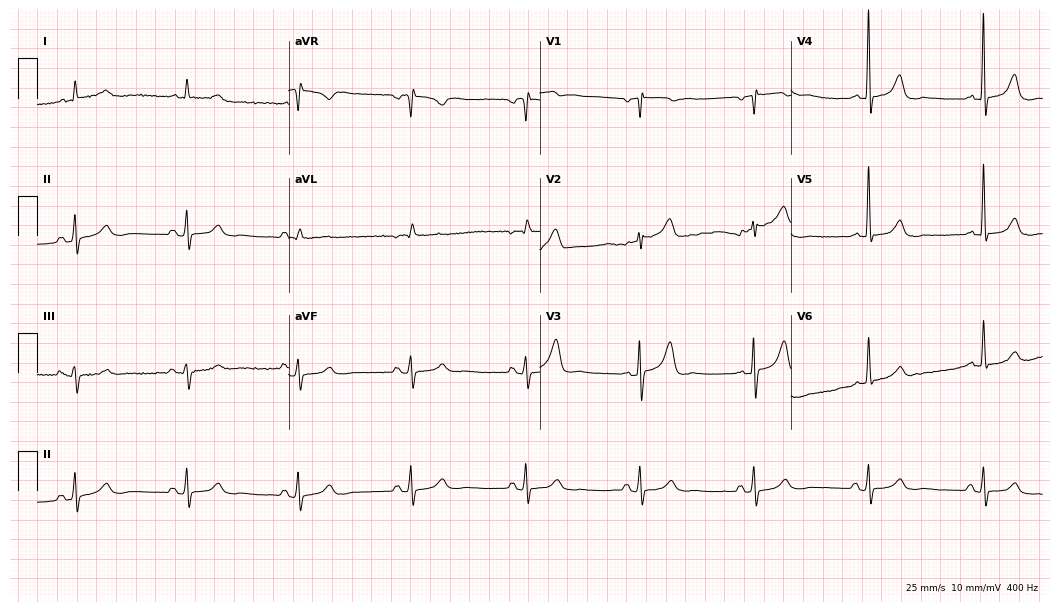
Electrocardiogram, a 79-year-old man. Of the six screened findings (first-degree AV block, right bundle branch block (RBBB), left bundle branch block (LBBB), sinus bradycardia, atrial fibrillation (AF), sinus tachycardia), none is recorded. Only these six findings were labelled.